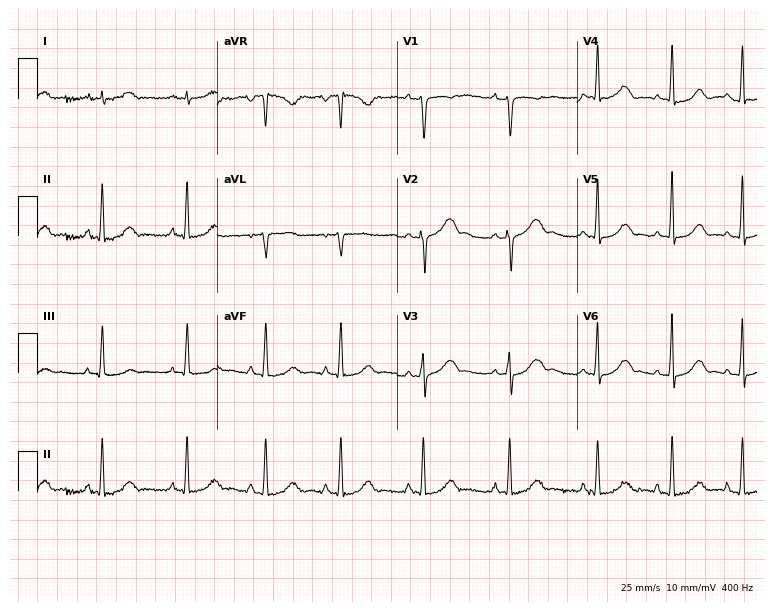
Resting 12-lead electrocardiogram (7.3-second recording at 400 Hz). Patient: a 23-year-old female. Read as a normal ECG.